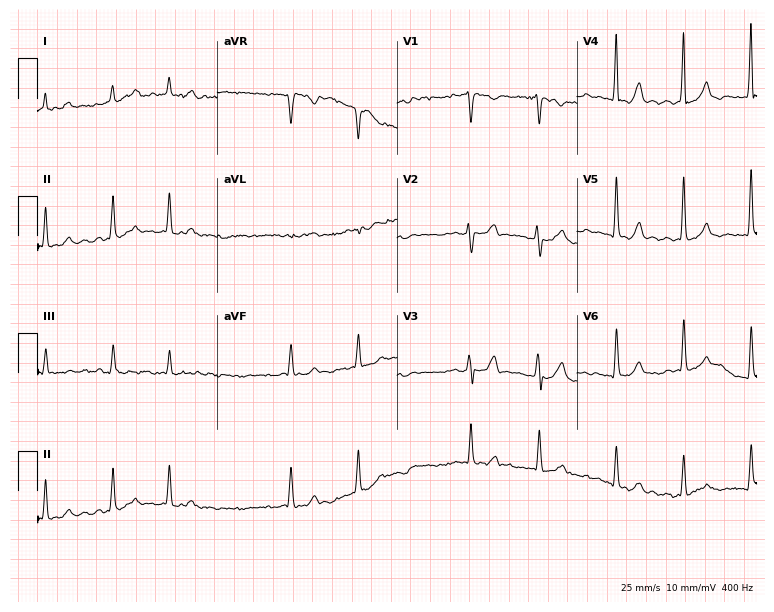
12-lead ECG (7.3-second recording at 400 Hz) from a 43-year-old female. Findings include atrial fibrillation.